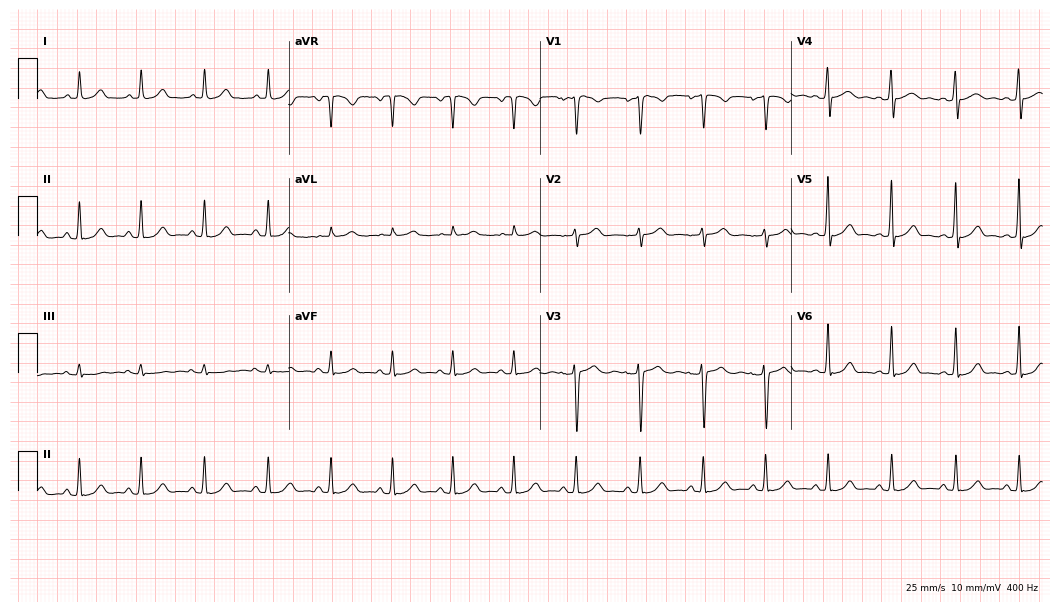
ECG (10.2-second recording at 400 Hz) — a 26-year-old female patient. Screened for six findings — first-degree AV block, right bundle branch block, left bundle branch block, sinus bradycardia, atrial fibrillation, sinus tachycardia — none is recorded.